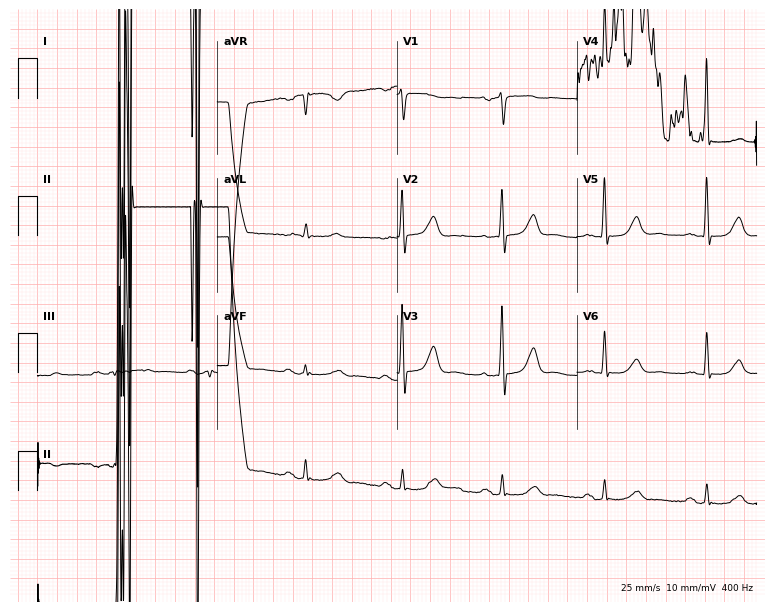
Resting 12-lead electrocardiogram. Patient: a 77-year-old male. None of these six findings is recorded: first-degree AV block, right bundle branch block, left bundle branch block, sinus bradycardia, atrial fibrillation, sinus tachycardia. Only these six findings were labelled.